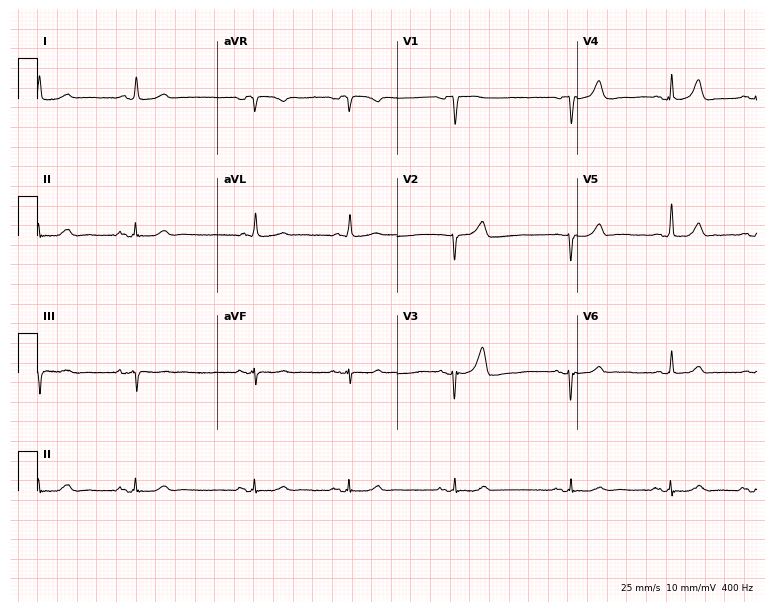
12-lead ECG from a male, 85 years old. No first-degree AV block, right bundle branch block (RBBB), left bundle branch block (LBBB), sinus bradycardia, atrial fibrillation (AF) or sinus tachycardia recorded for this tracing. Other findings, if any, are not listed.